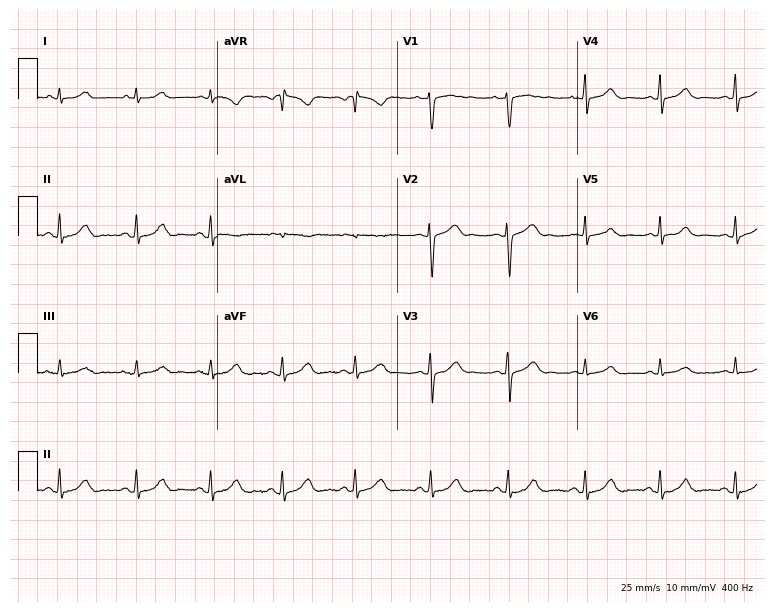
Standard 12-lead ECG recorded from a woman, 44 years old. Read as a normal ECG.